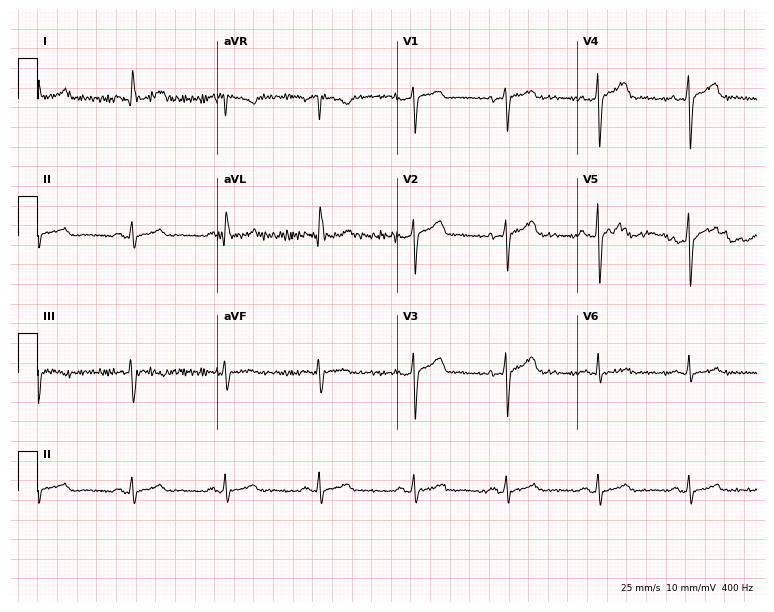
Electrocardiogram, a 59-year-old woman. Overall reading on record: normal ECG.